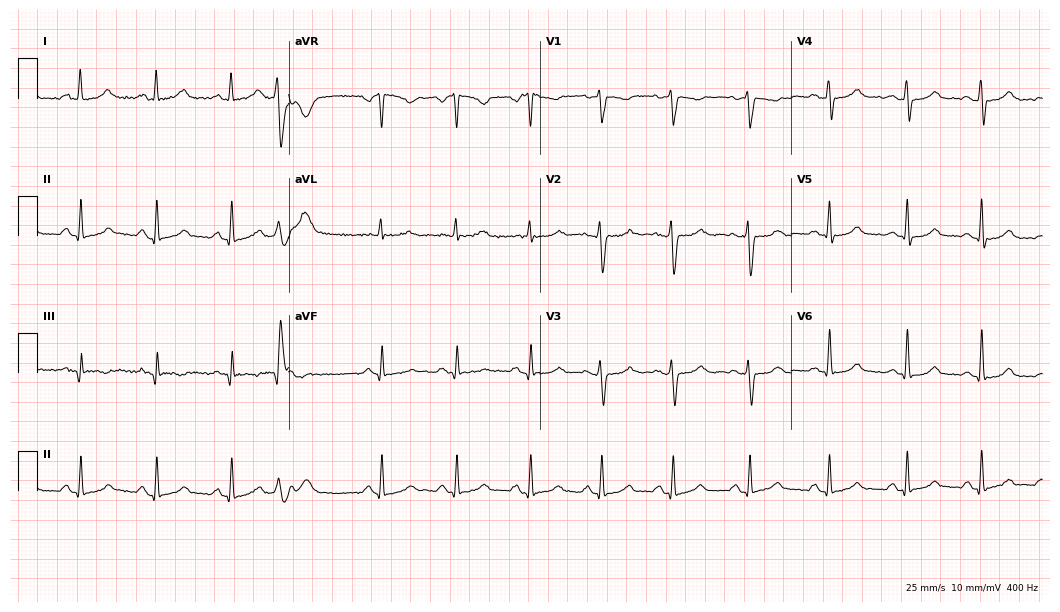
Resting 12-lead electrocardiogram (10.2-second recording at 400 Hz). Patient: a woman, 41 years old. None of these six findings is recorded: first-degree AV block, right bundle branch block, left bundle branch block, sinus bradycardia, atrial fibrillation, sinus tachycardia. Findings outside these six are not listed.